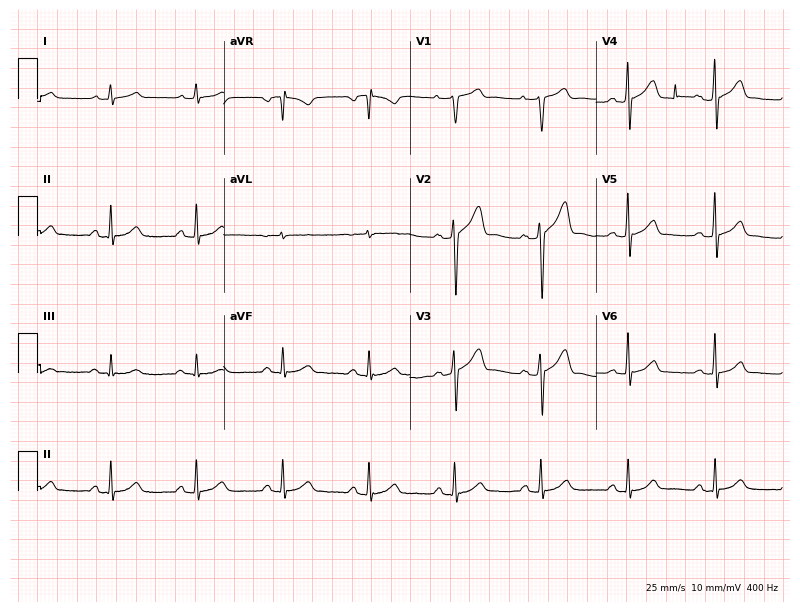
Resting 12-lead electrocardiogram (7.6-second recording at 400 Hz). Patient: a man, 60 years old. Read as a normal ECG.